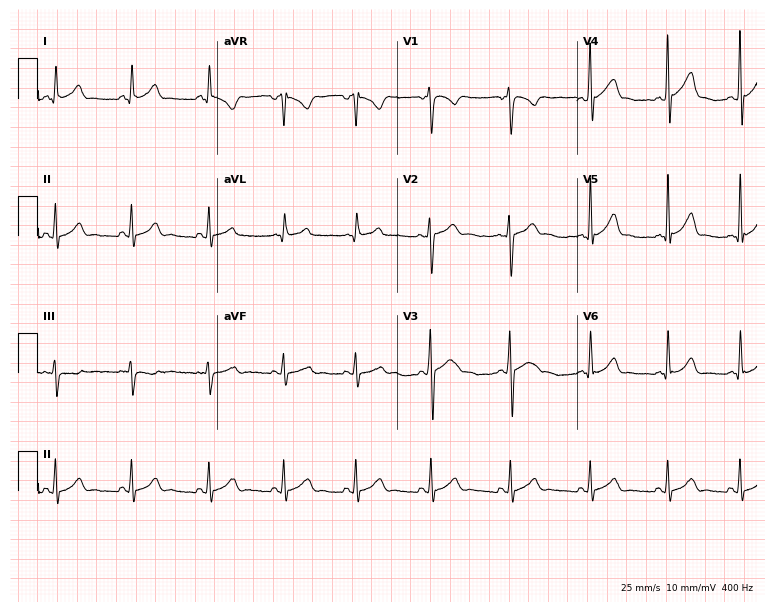
12-lead ECG (7.3-second recording at 400 Hz) from a male patient, 19 years old. Labelled as a normal ECG.